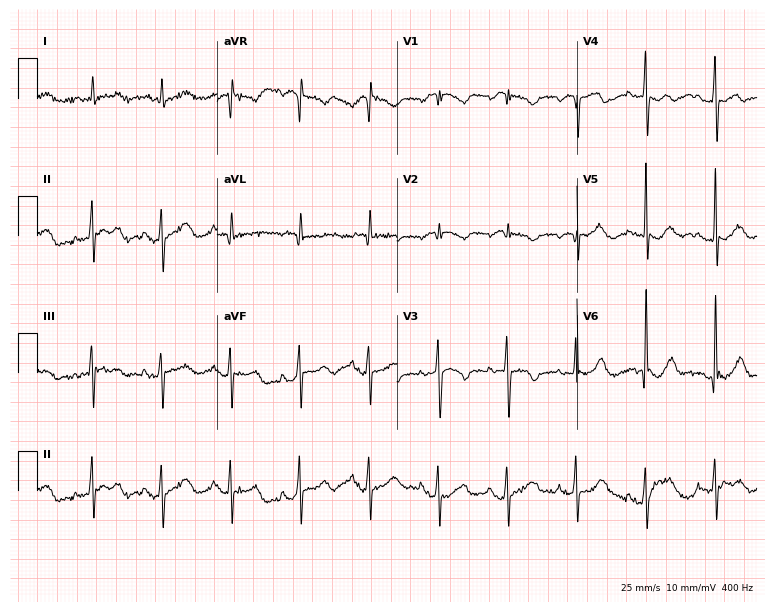
Standard 12-lead ECG recorded from an 80-year-old male patient (7.3-second recording at 400 Hz). None of these six findings is recorded: first-degree AV block, right bundle branch block, left bundle branch block, sinus bradycardia, atrial fibrillation, sinus tachycardia. Only these six findings were labelled.